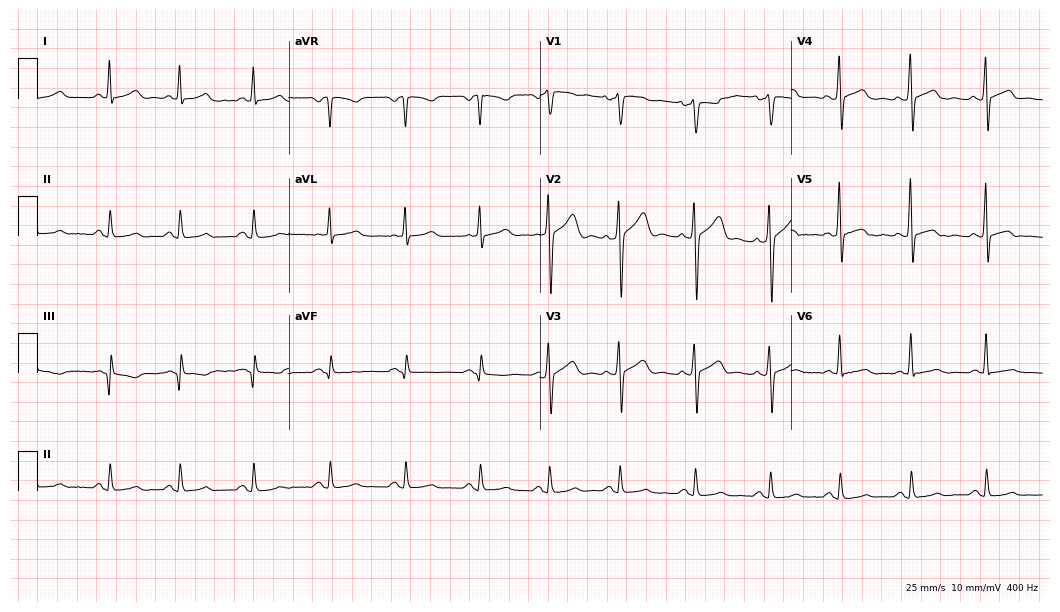
ECG (10.2-second recording at 400 Hz) — a man, 43 years old. Labelled as a normal ECG.